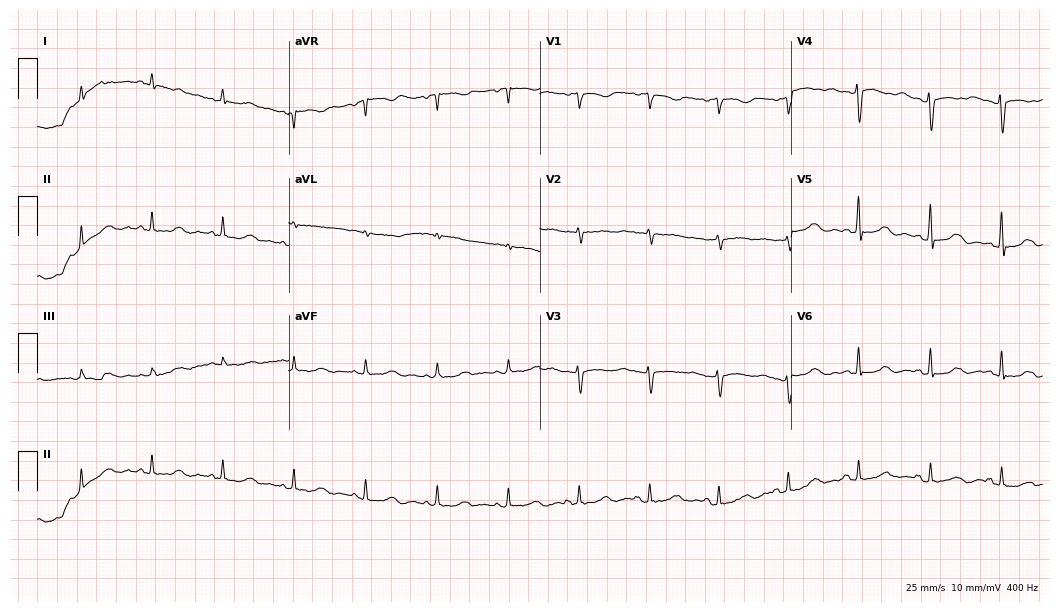
12-lead ECG from a female patient, 50 years old (10.2-second recording at 400 Hz). No first-degree AV block, right bundle branch block, left bundle branch block, sinus bradycardia, atrial fibrillation or sinus tachycardia recorded for this tracing.